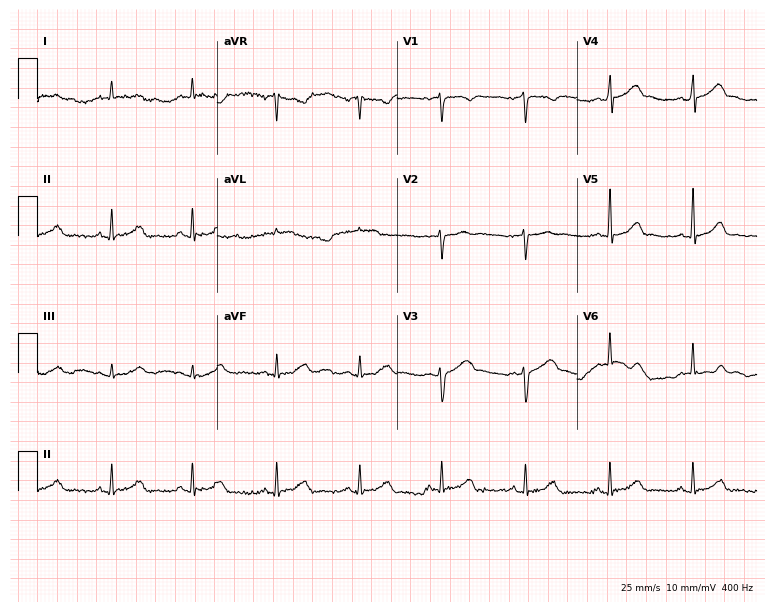
ECG — a 64-year-old male patient. Screened for six findings — first-degree AV block, right bundle branch block, left bundle branch block, sinus bradycardia, atrial fibrillation, sinus tachycardia — none is recorded.